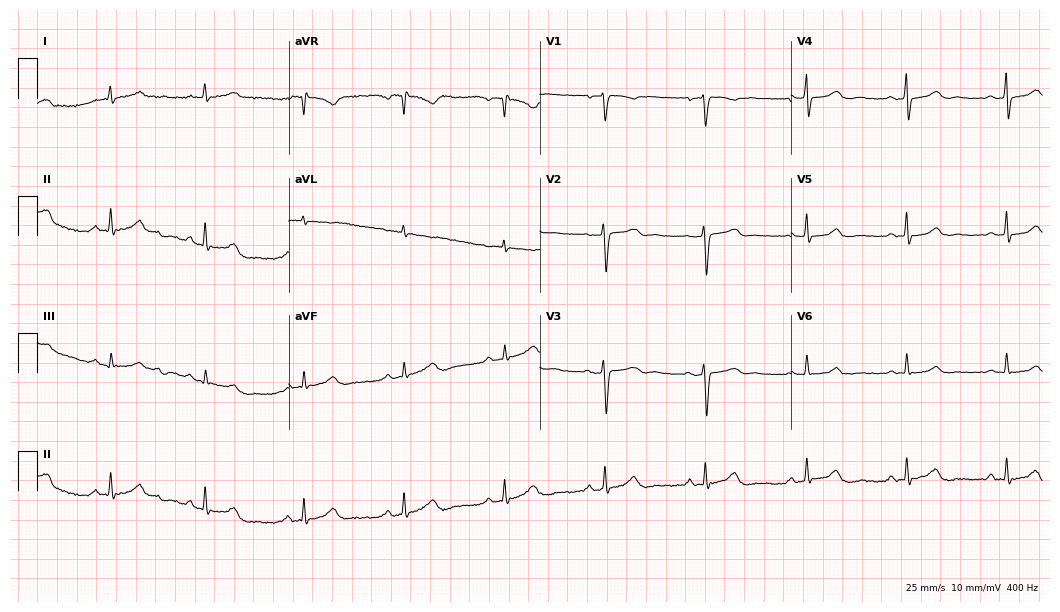
Electrocardiogram (10.2-second recording at 400 Hz), a 59-year-old female. Overall reading on record: normal ECG.